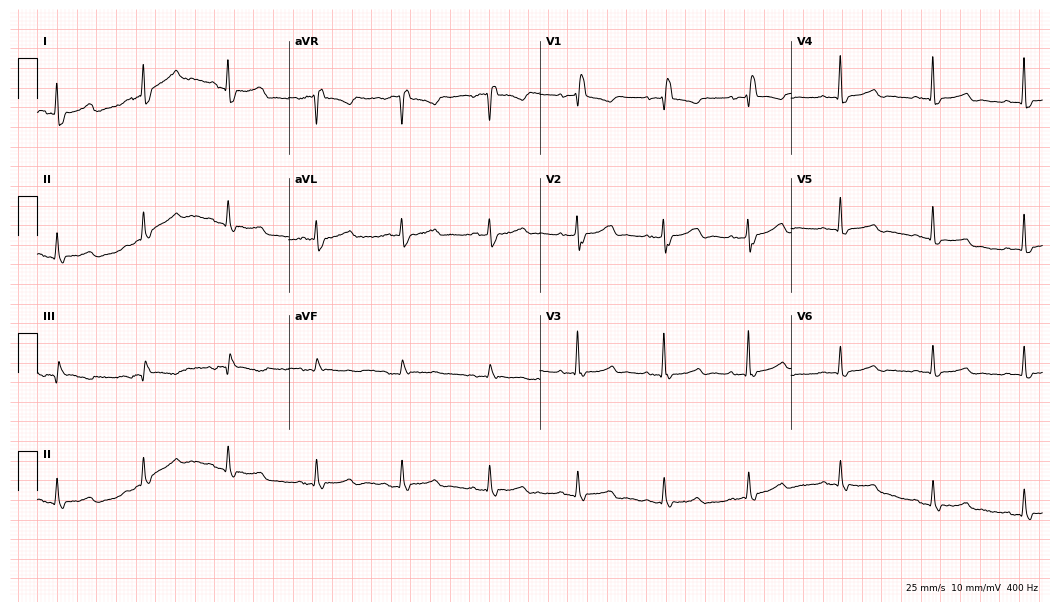
Electrocardiogram (10.2-second recording at 400 Hz), an 85-year-old female patient. Of the six screened findings (first-degree AV block, right bundle branch block, left bundle branch block, sinus bradycardia, atrial fibrillation, sinus tachycardia), none is recorded.